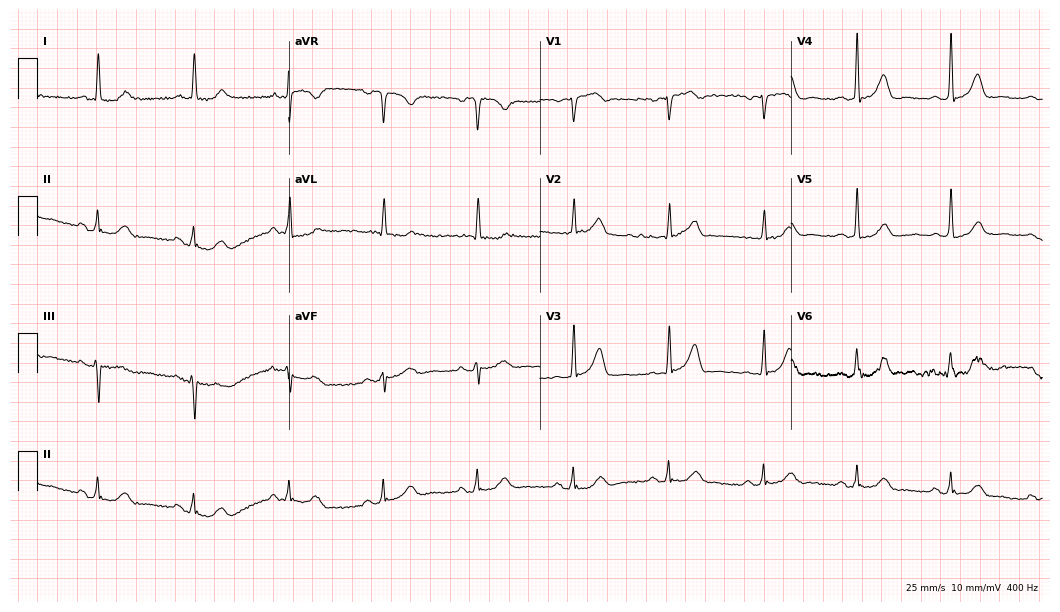
Standard 12-lead ECG recorded from a female, 79 years old (10.2-second recording at 400 Hz). Read as a normal ECG.